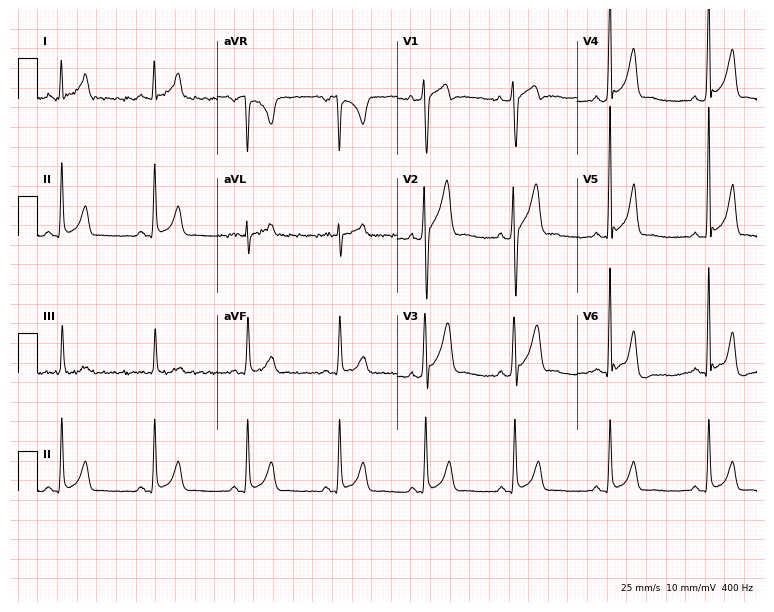
Electrocardiogram, a 24-year-old man. Of the six screened findings (first-degree AV block, right bundle branch block (RBBB), left bundle branch block (LBBB), sinus bradycardia, atrial fibrillation (AF), sinus tachycardia), none is recorded.